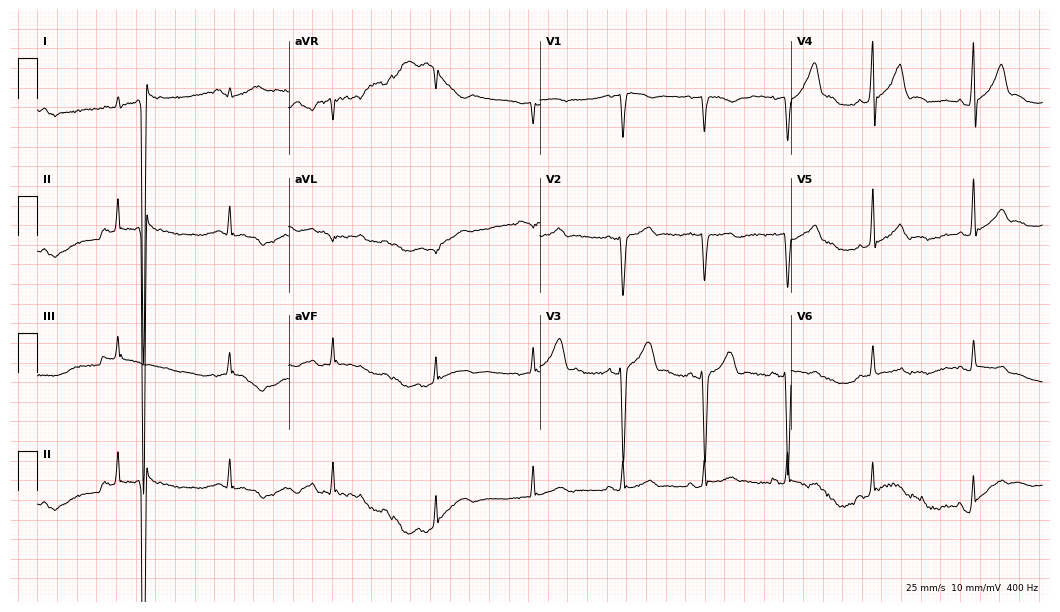
ECG — a 28-year-old man. Labelled as a normal ECG.